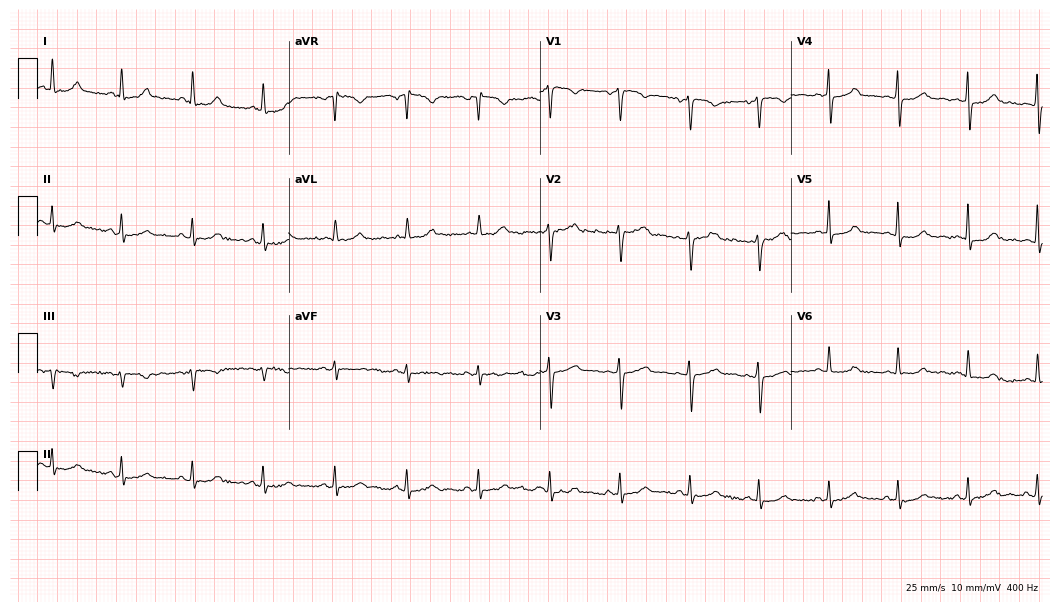
Electrocardiogram (10.2-second recording at 400 Hz), a 68-year-old woman. Overall reading on record: normal ECG.